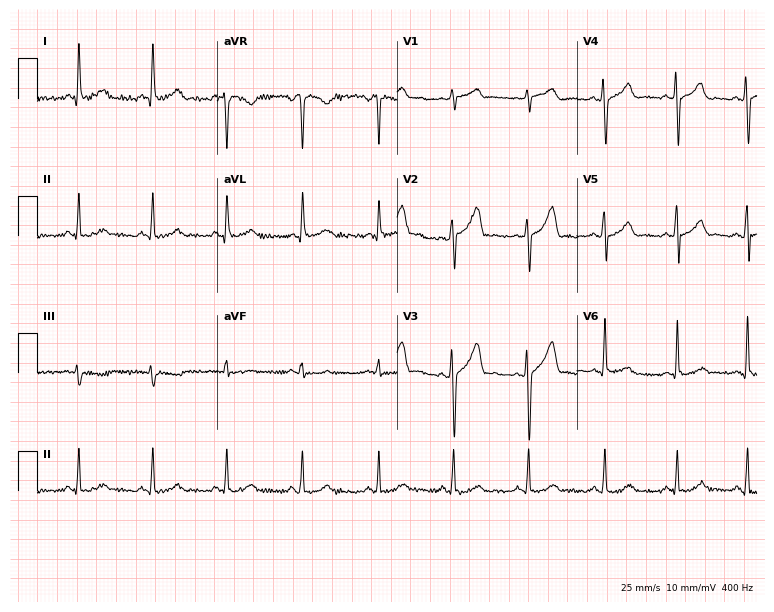
Electrocardiogram (7.3-second recording at 400 Hz), a 44-year-old male. Overall reading on record: normal ECG.